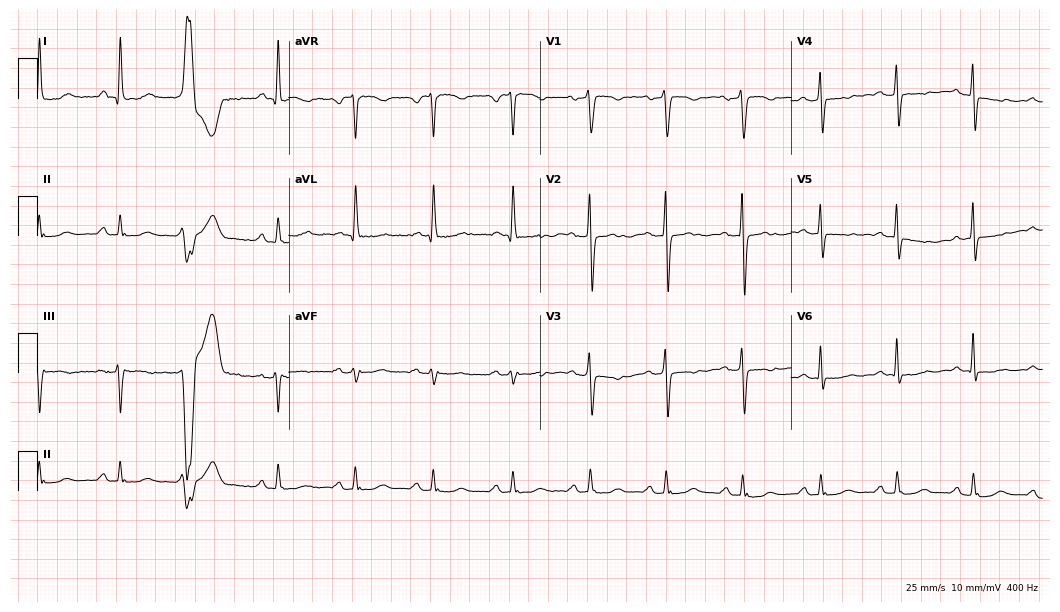
ECG — a female, 48 years old. Screened for six findings — first-degree AV block, right bundle branch block, left bundle branch block, sinus bradycardia, atrial fibrillation, sinus tachycardia — none is recorded.